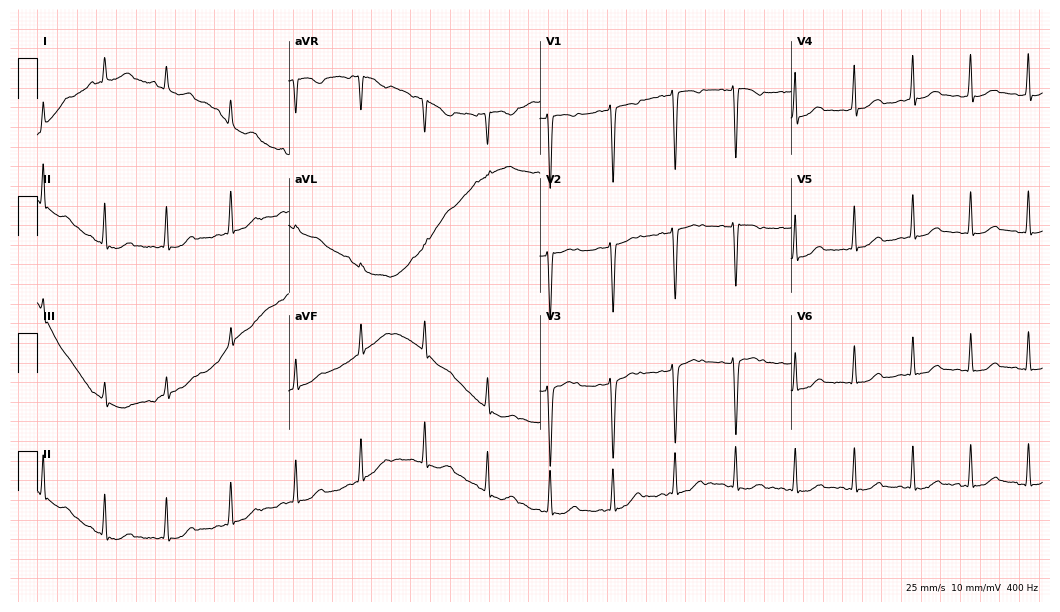
Resting 12-lead electrocardiogram. Patient: a woman, 23 years old. Read as a normal ECG.